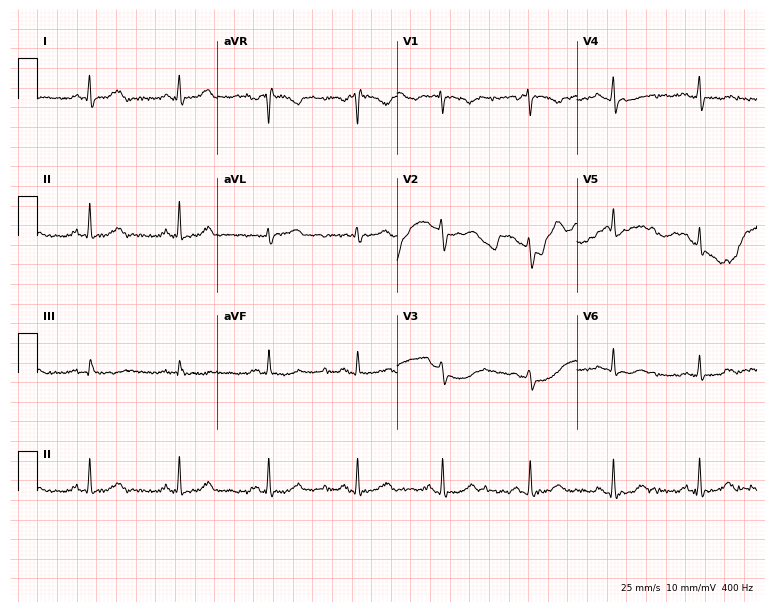
12-lead ECG from a female patient, 52 years old. No first-degree AV block, right bundle branch block (RBBB), left bundle branch block (LBBB), sinus bradycardia, atrial fibrillation (AF) or sinus tachycardia recorded for this tracing.